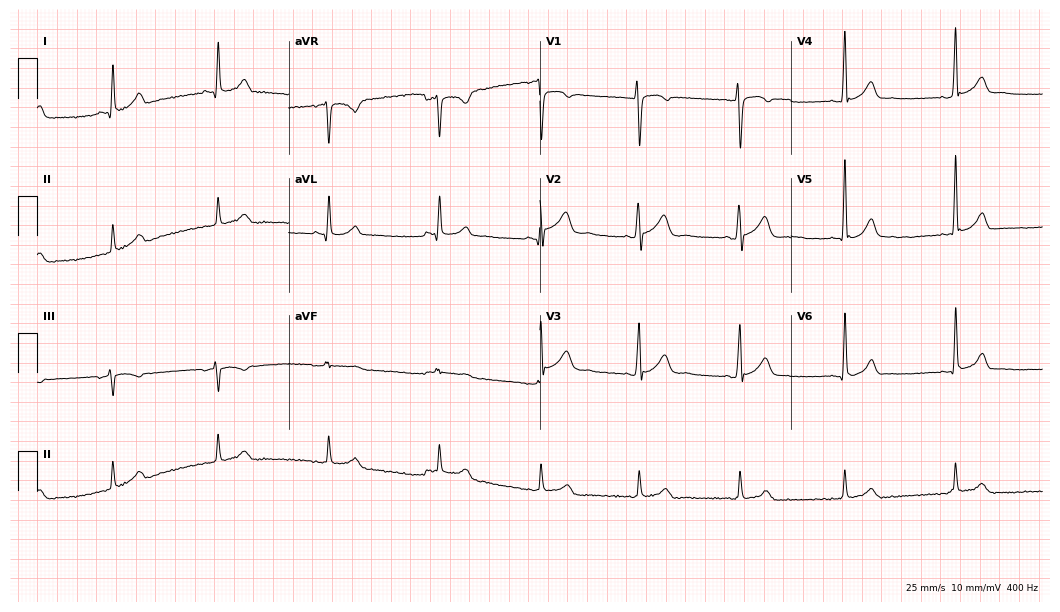
Standard 12-lead ECG recorded from a woman, 23 years old (10.2-second recording at 400 Hz). None of these six findings is recorded: first-degree AV block, right bundle branch block, left bundle branch block, sinus bradycardia, atrial fibrillation, sinus tachycardia. Only these six findings were labelled.